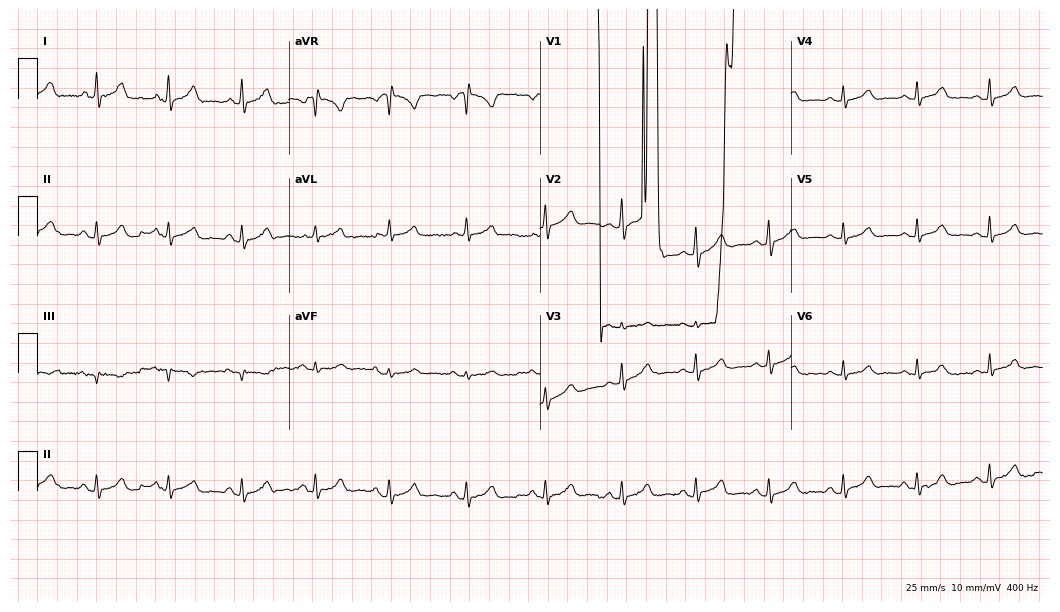
ECG (10.2-second recording at 400 Hz) — a female patient, 36 years old. Screened for six findings — first-degree AV block, right bundle branch block (RBBB), left bundle branch block (LBBB), sinus bradycardia, atrial fibrillation (AF), sinus tachycardia — none is recorded. Findings outside these six are not listed.